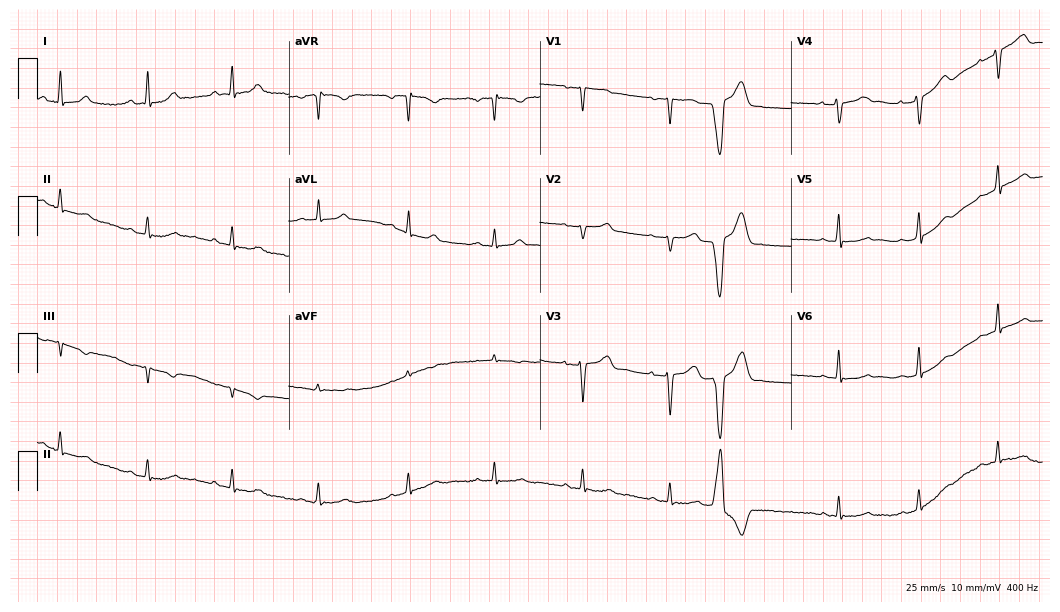
12-lead ECG (10.2-second recording at 400 Hz) from a 43-year-old female patient. Screened for six findings — first-degree AV block, right bundle branch block (RBBB), left bundle branch block (LBBB), sinus bradycardia, atrial fibrillation (AF), sinus tachycardia — none is recorded.